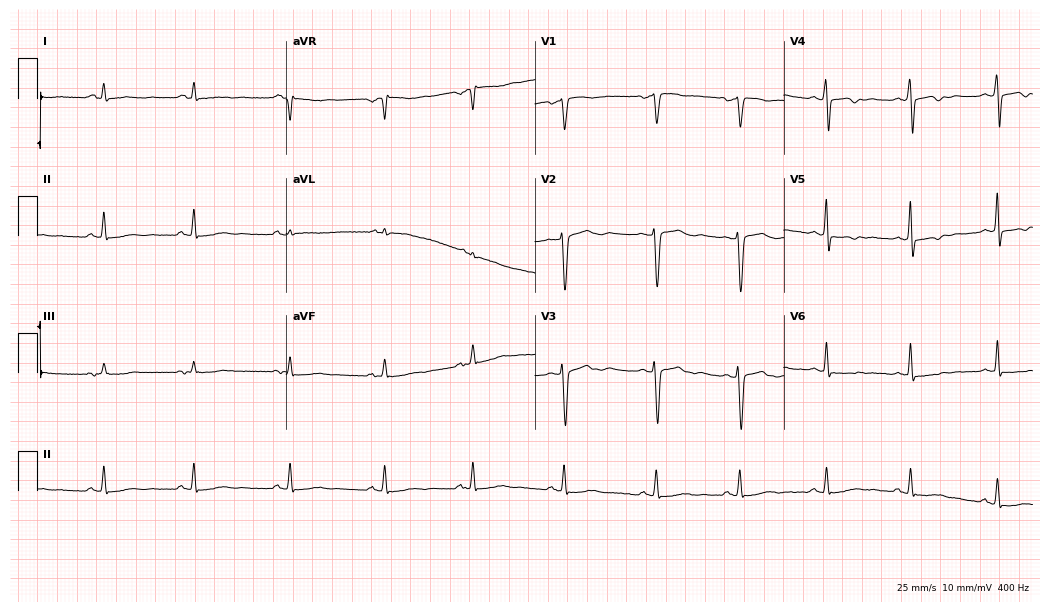
Standard 12-lead ECG recorded from a female patient, 49 years old. None of these six findings is recorded: first-degree AV block, right bundle branch block, left bundle branch block, sinus bradycardia, atrial fibrillation, sinus tachycardia.